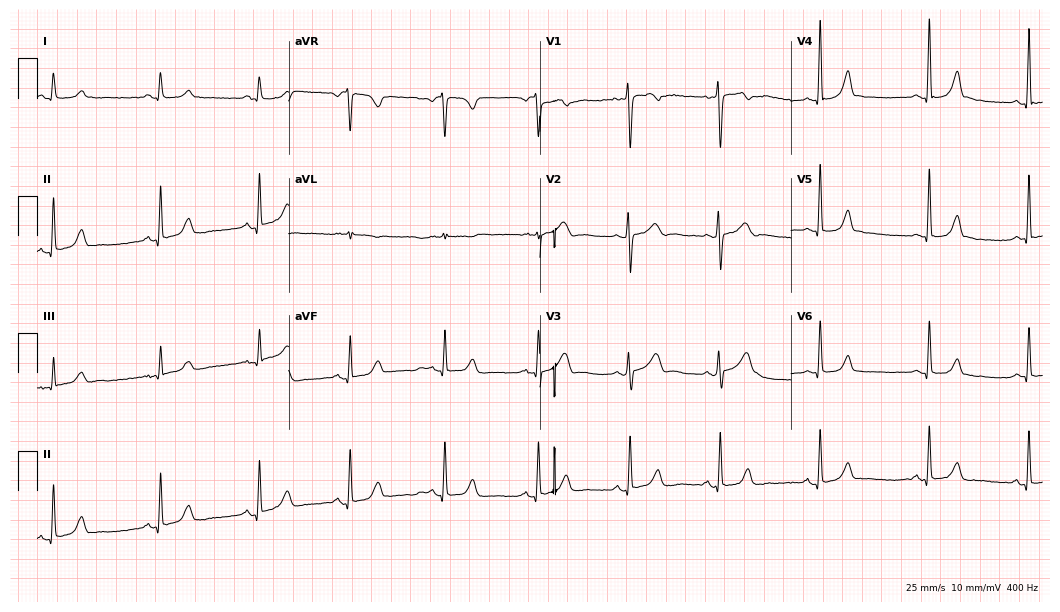
Standard 12-lead ECG recorded from a female patient, 30 years old. Read as a normal ECG.